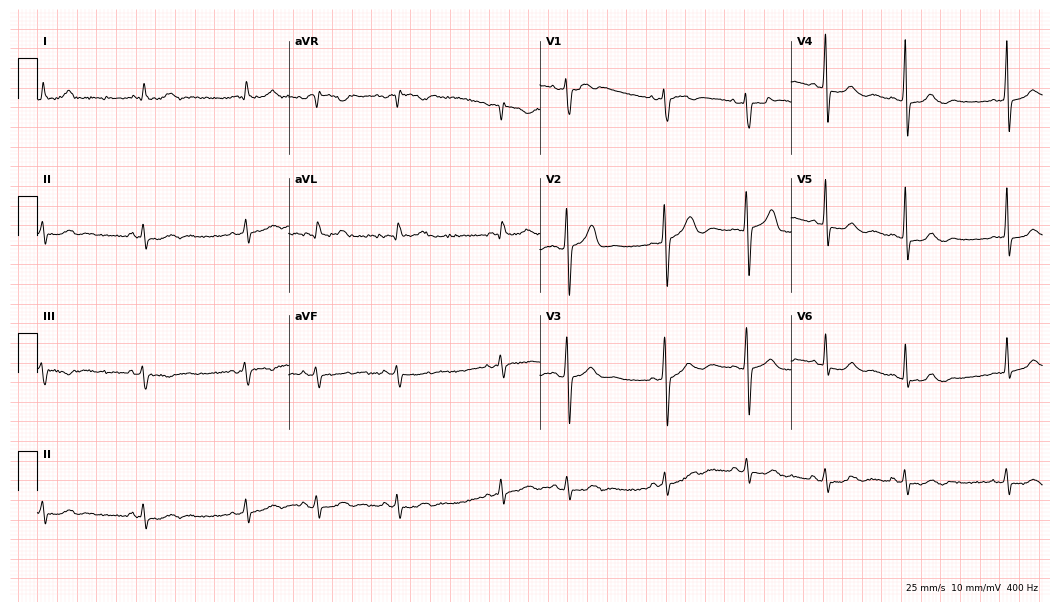
Resting 12-lead electrocardiogram (10.2-second recording at 400 Hz). Patient: a male, 75 years old. Read as a normal ECG.